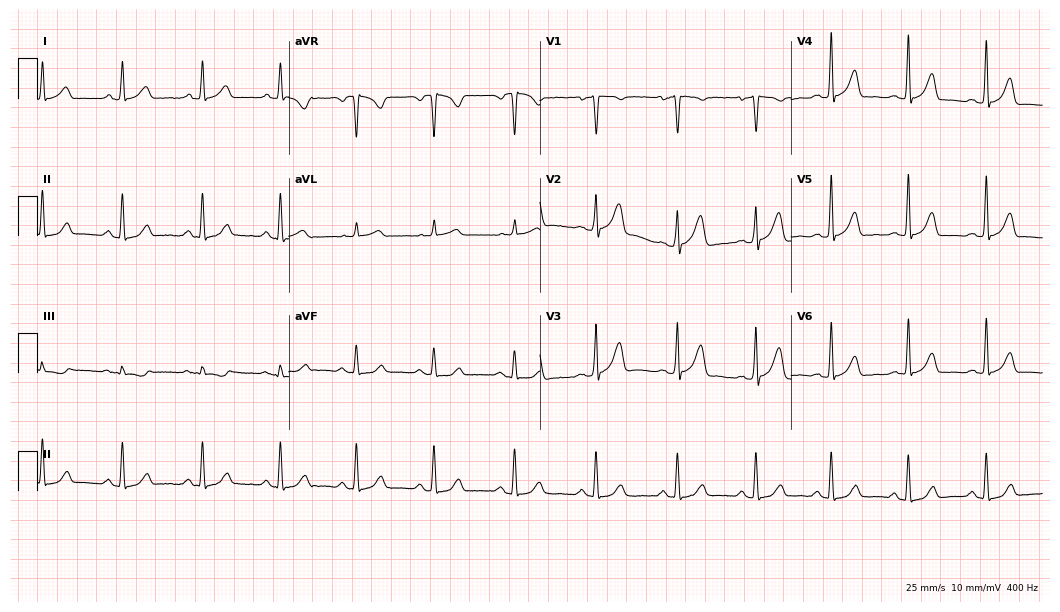
12-lead ECG from a 49-year-old female. Recorded interpretation: within normal limits.